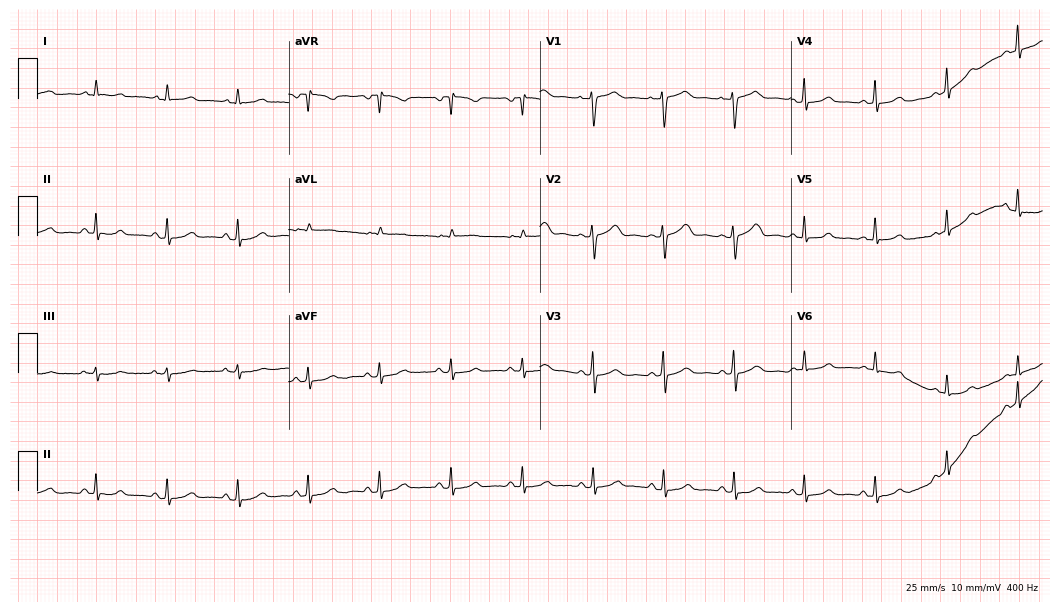
12-lead ECG from a woman, 53 years old. Labelled as a normal ECG.